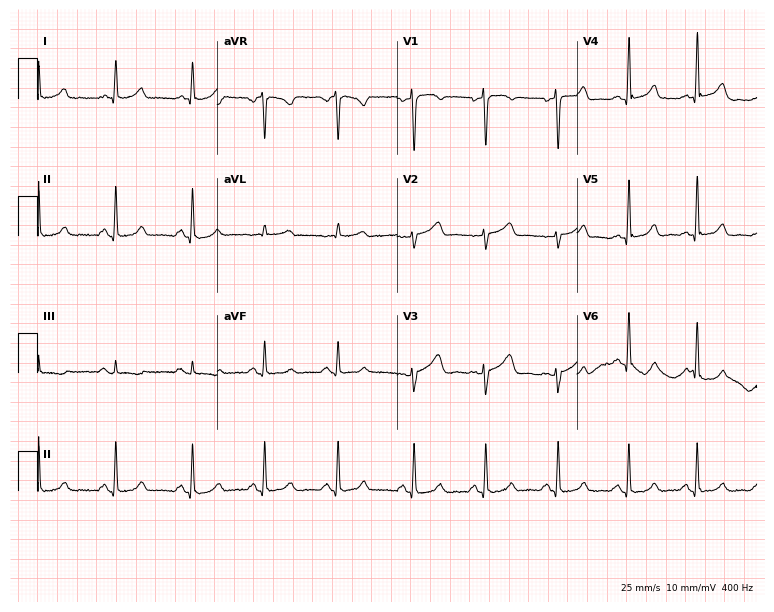
ECG — a female, 45 years old. Screened for six findings — first-degree AV block, right bundle branch block, left bundle branch block, sinus bradycardia, atrial fibrillation, sinus tachycardia — none is recorded. Findings outside these six are not listed.